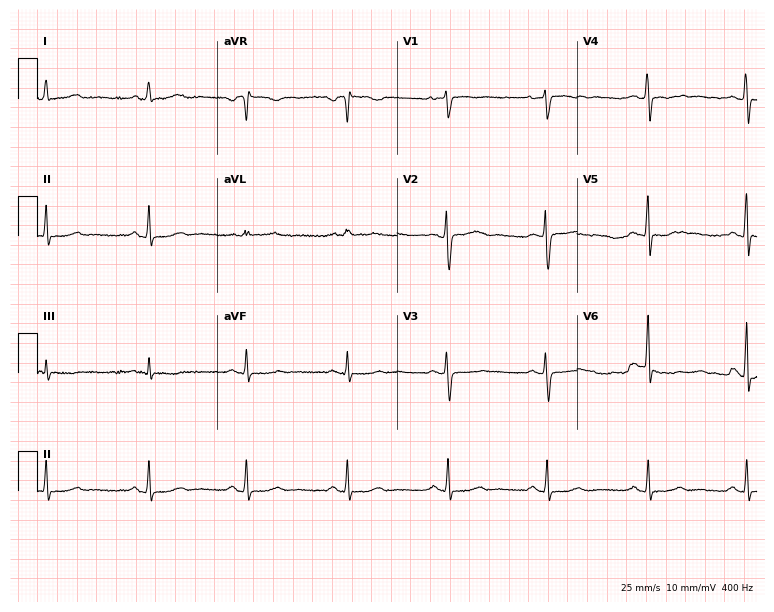
ECG — a 33-year-old woman. Labelled as a normal ECG.